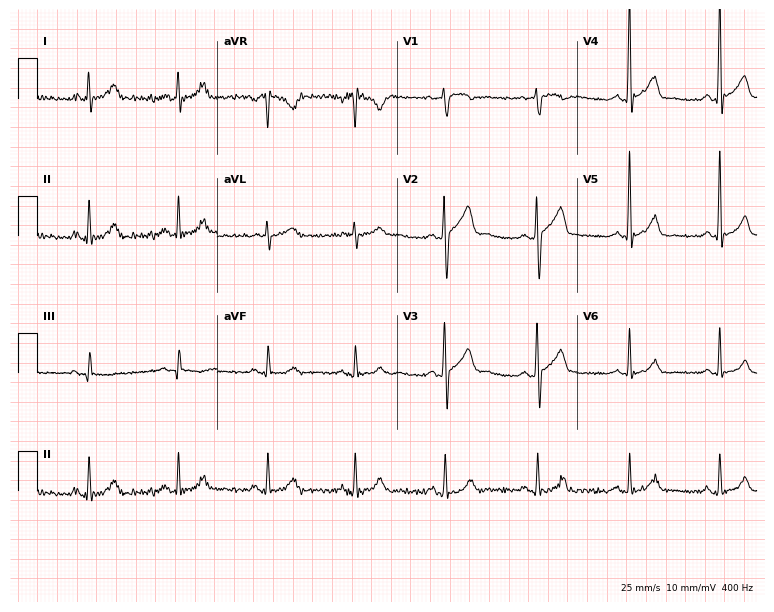
12-lead ECG from a 48-year-old male (7.3-second recording at 400 Hz). No first-degree AV block, right bundle branch block (RBBB), left bundle branch block (LBBB), sinus bradycardia, atrial fibrillation (AF) or sinus tachycardia recorded for this tracing.